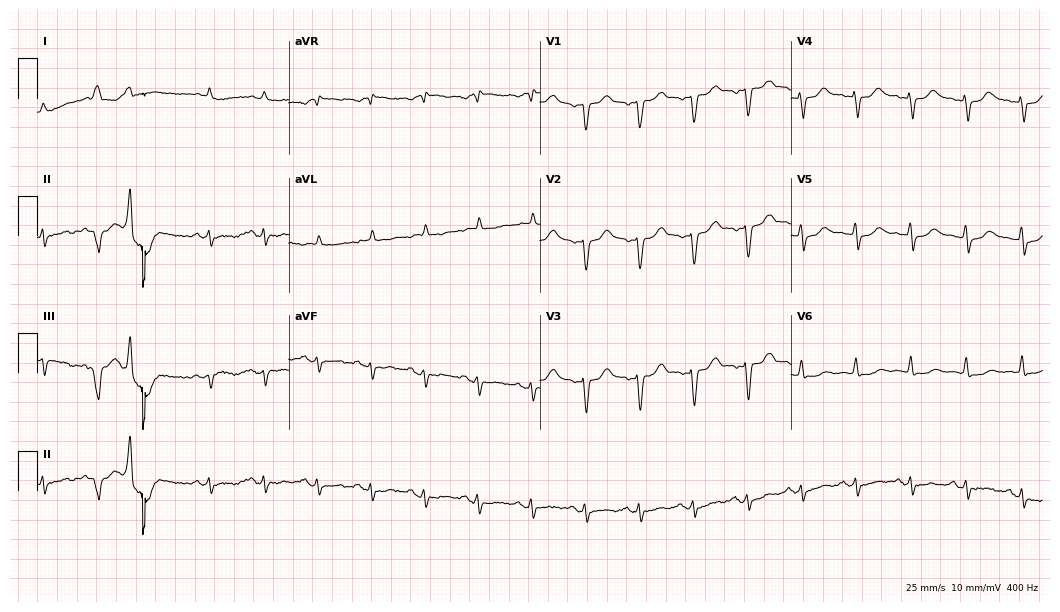
12-lead ECG from a 76-year-old man. No first-degree AV block, right bundle branch block (RBBB), left bundle branch block (LBBB), sinus bradycardia, atrial fibrillation (AF) or sinus tachycardia recorded for this tracing.